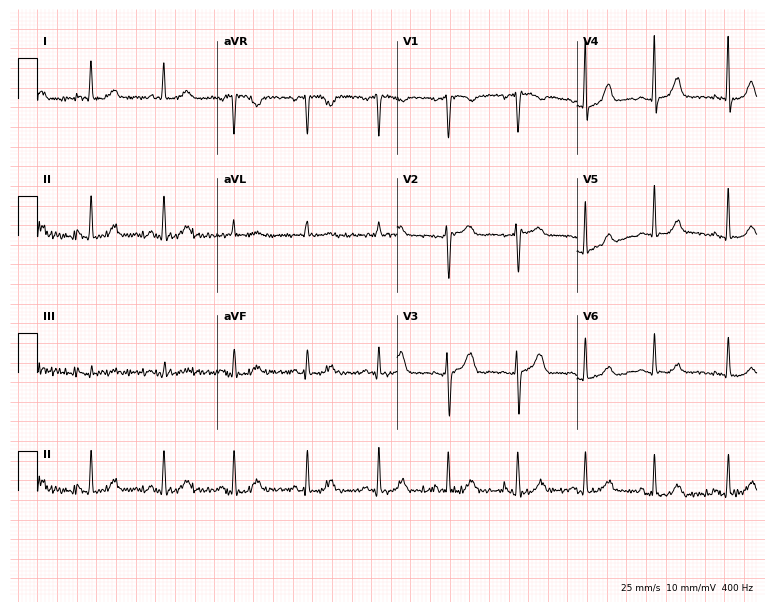
ECG — a woman, 46 years old. Labelled as a normal ECG.